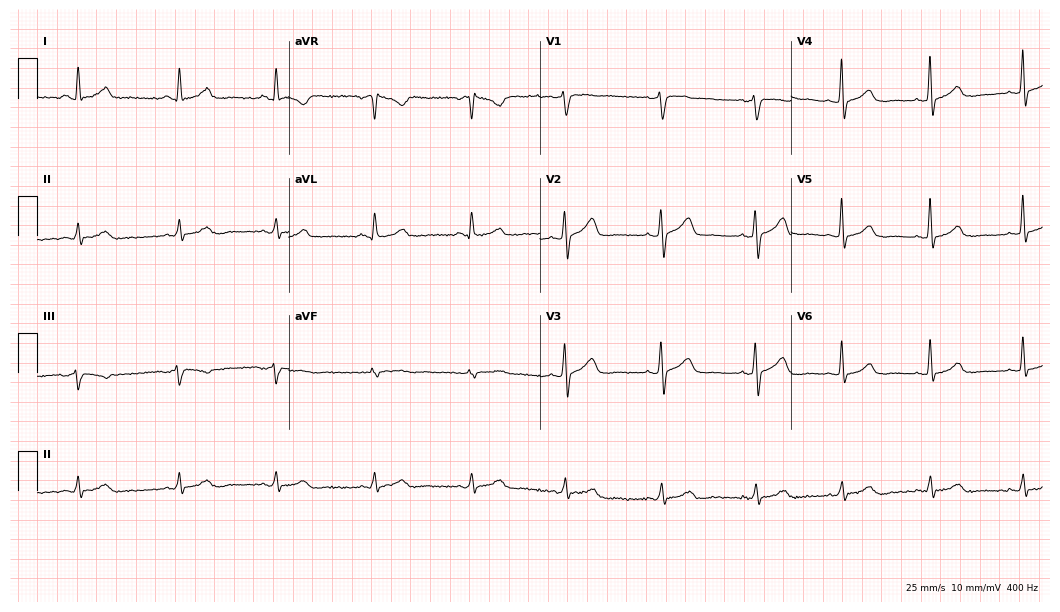
Electrocardiogram, a 43-year-old female patient. Overall reading on record: normal ECG.